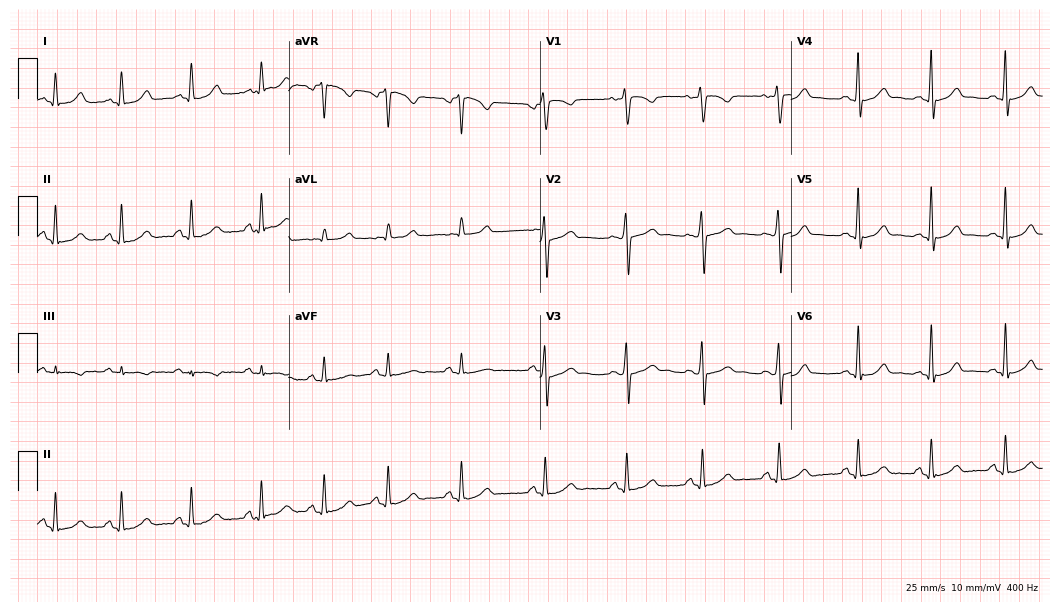
12-lead ECG from a 20-year-old female patient. Labelled as a normal ECG.